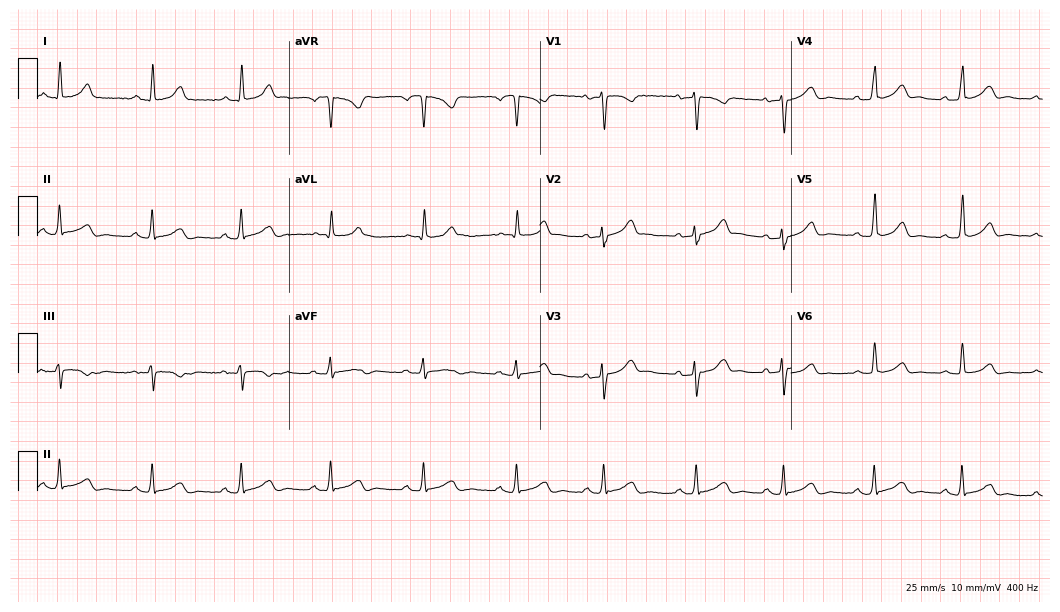
Standard 12-lead ECG recorded from a 32-year-old female. Read as a normal ECG.